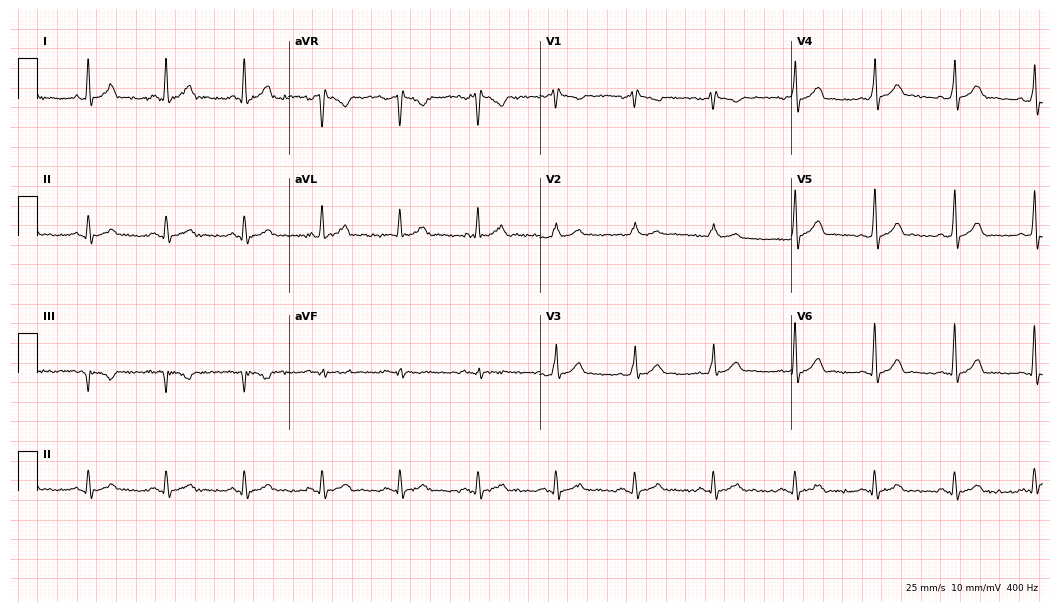
12-lead ECG from a male patient, 52 years old. Screened for six findings — first-degree AV block, right bundle branch block, left bundle branch block, sinus bradycardia, atrial fibrillation, sinus tachycardia — none is recorded. Other findings, if any, are not listed.